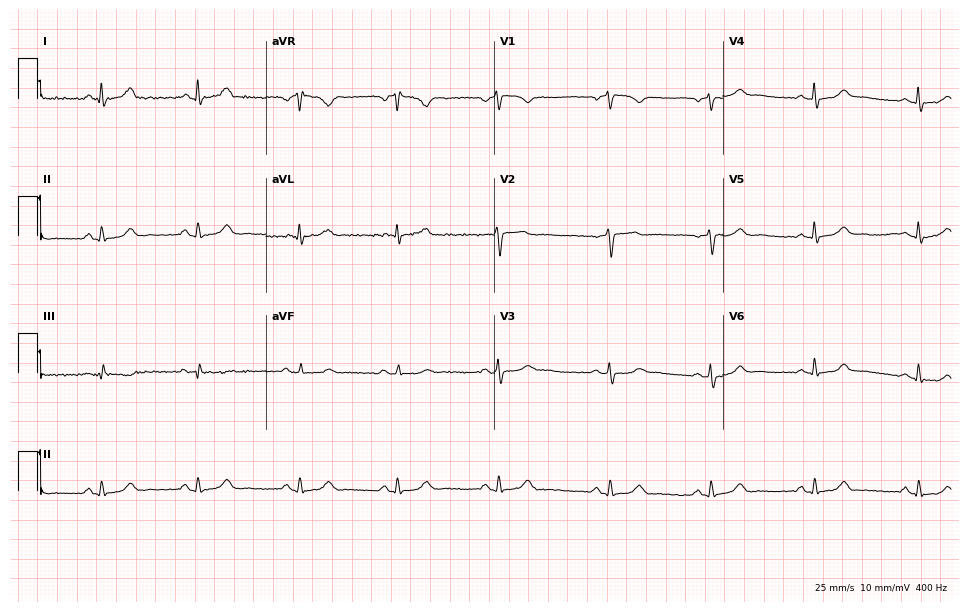
Standard 12-lead ECG recorded from a female, 46 years old. Read as a normal ECG.